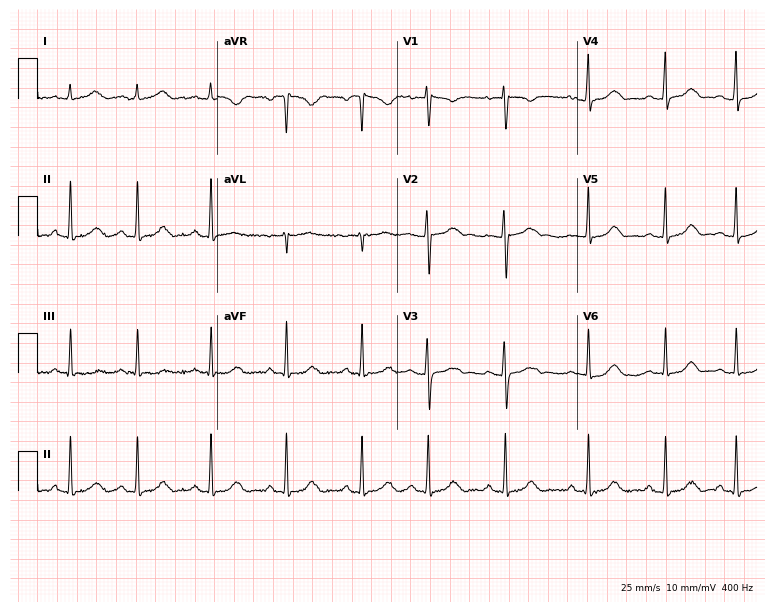
ECG — a 17-year-old female. Screened for six findings — first-degree AV block, right bundle branch block, left bundle branch block, sinus bradycardia, atrial fibrillation, sinus tachycardia — none is recorded.